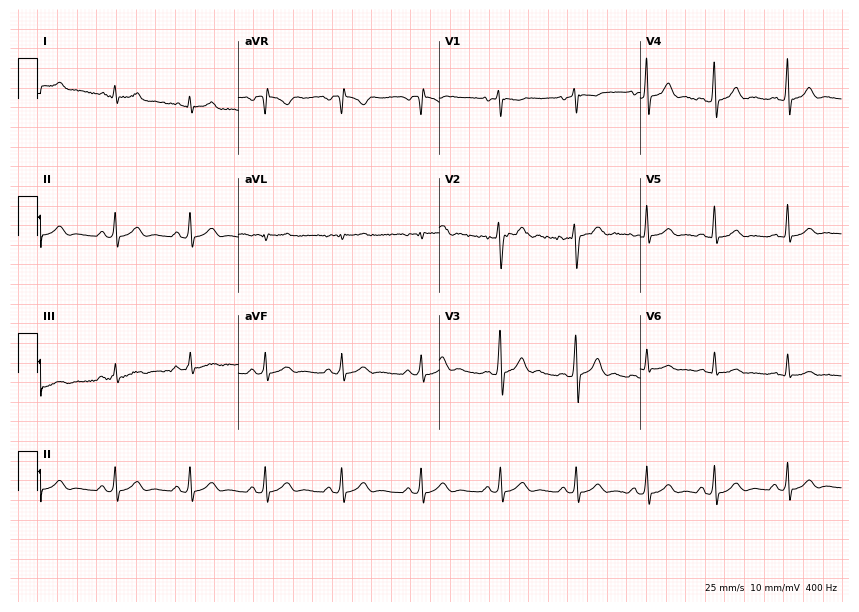
Resting 12-lead electrocardiogram (8.2-second recording at 400 Hz). Patient: an 18-year-old male. Read as a normal ECG.